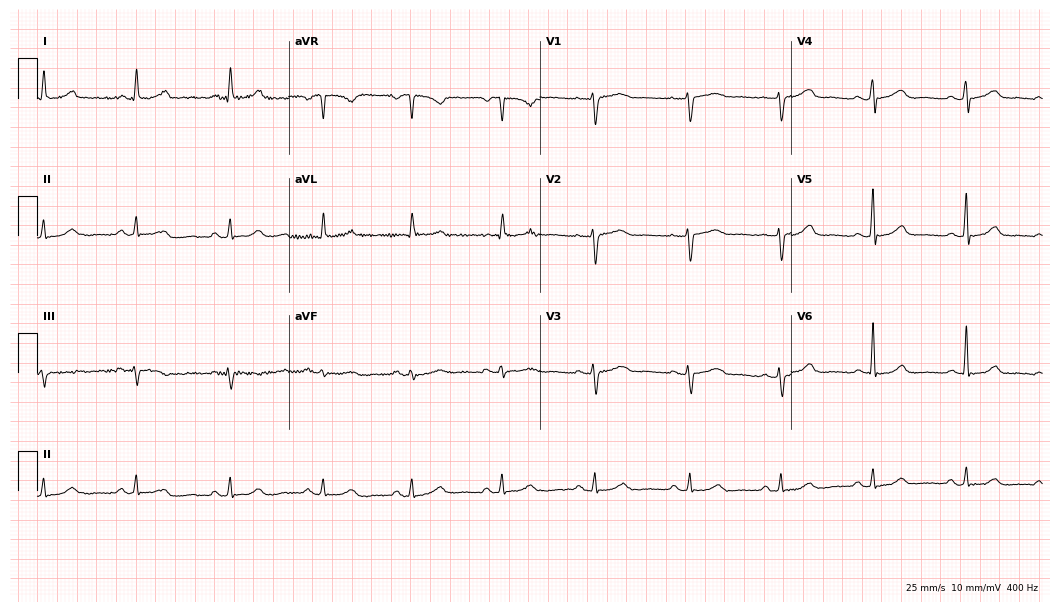
12-lead ECG from a female patient, 48 years old (10.2-second recording at 400 Hz). Recorded interpretation: within normal limits.